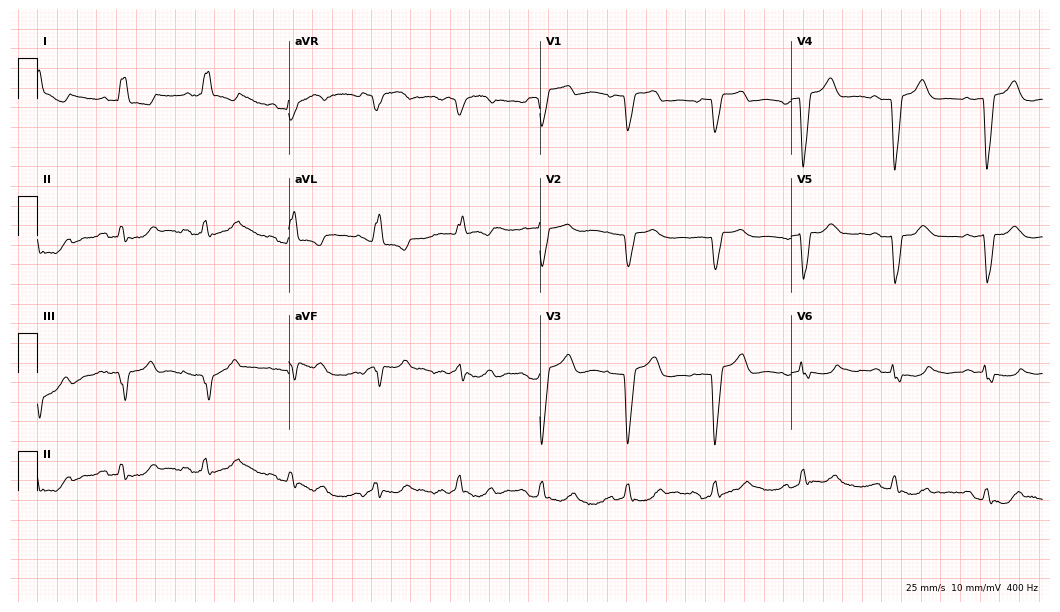
ECG (10.2-second recording at 400 Hz) — a 78-year-old woman. Findings include left bundle branch block.